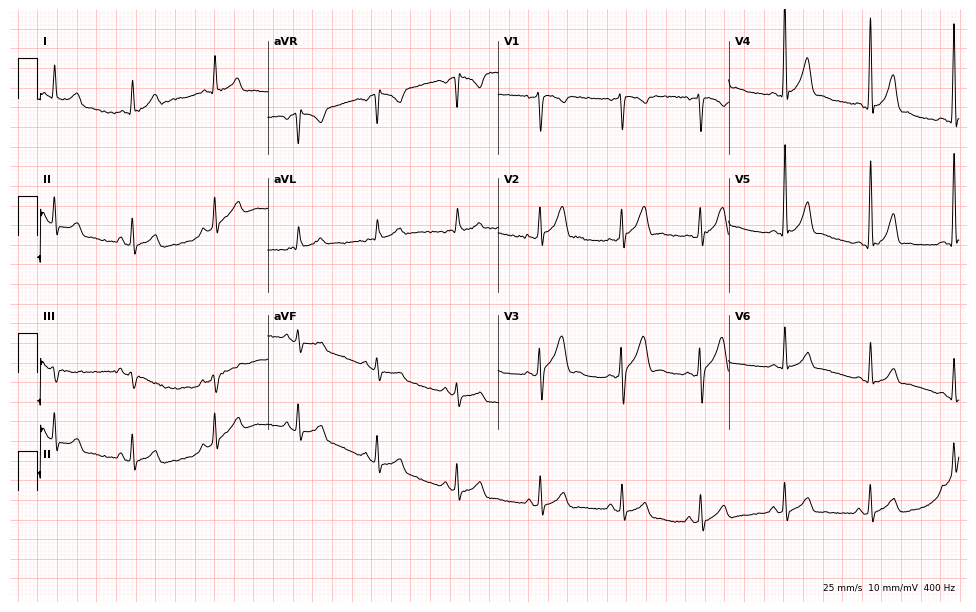
Resting 12-lead electrocardiogram (9.4-second recording at 400 Hz). Patient: a 21-year-old man. Read as a normal ECG.